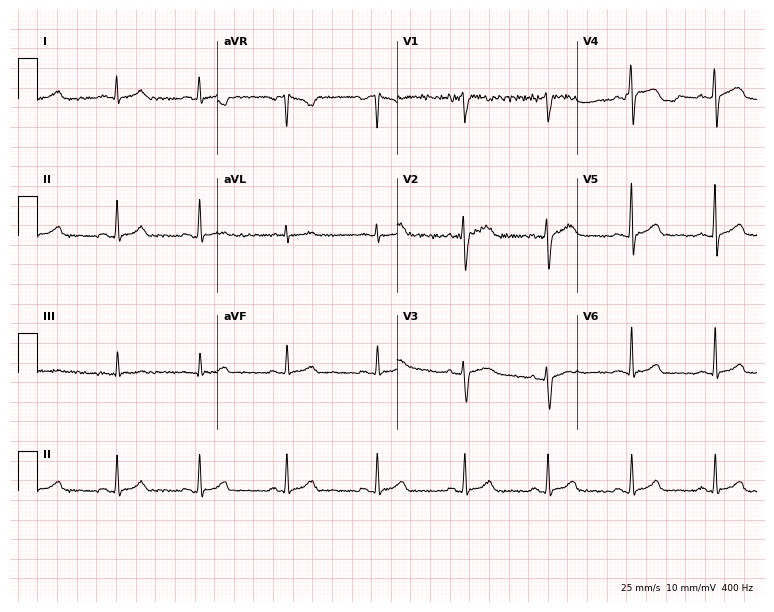
12-lead ECG from a 35-year-old female (7.3-second recording at 400 Hz). No first-degree AV block, right bundle branch block (RBBB), left bundle branch block (LBBB), sinus bradycardia, atrial fibrillation (AF) or sinus tachycardia recorded for this tracing.